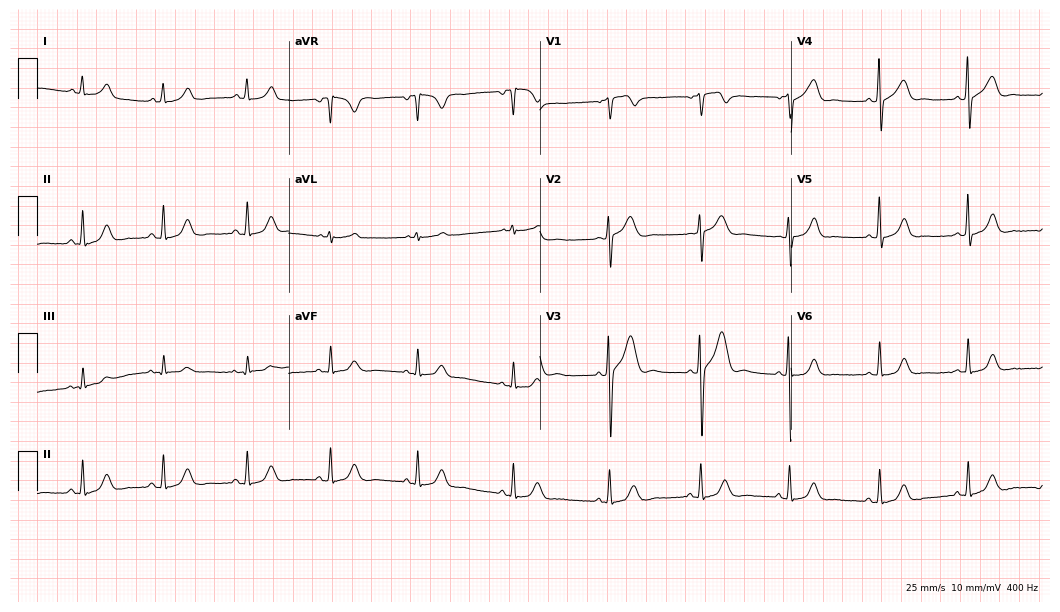
Standard 12-lead ECG recorded from a 38-year-old female patient. Read as a normal ECG.